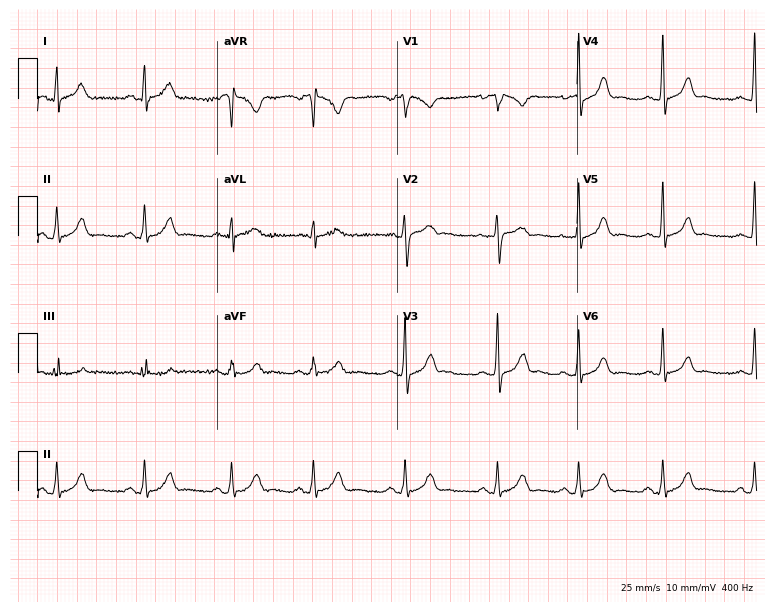
ECG — a 27-year-old female patient. Labelled as a normal ECG.